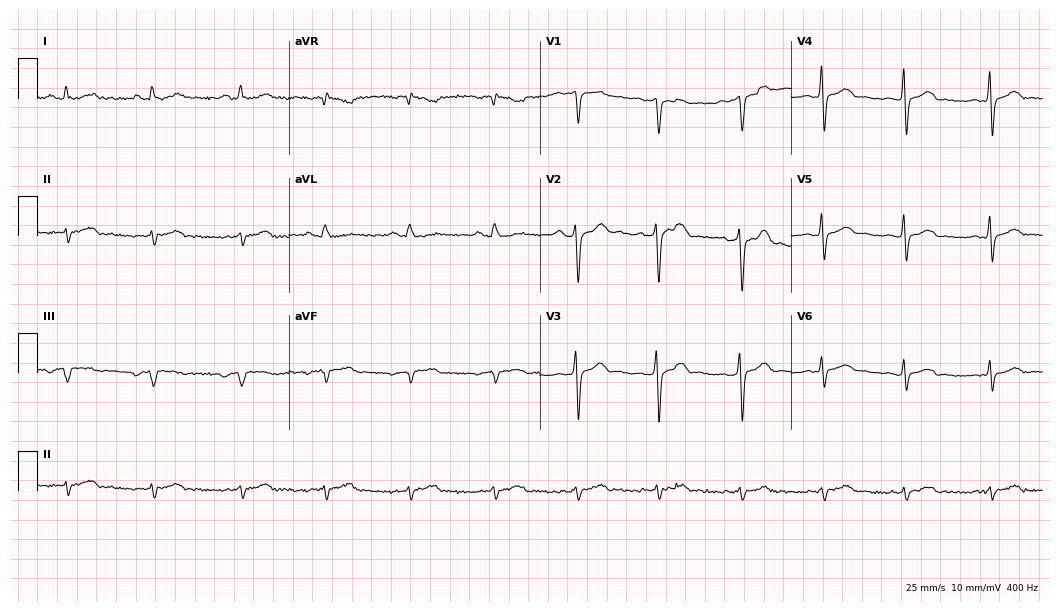
Standard 12-lead ECG recorded from a 30-year-old male. None of these six findings is recorded: first-degree AV block, right bundle branch block, left bundle branch block, sinus bradycardia, atrial fibrillation, sinus tachycardia. Other findings, if any, are not listed.